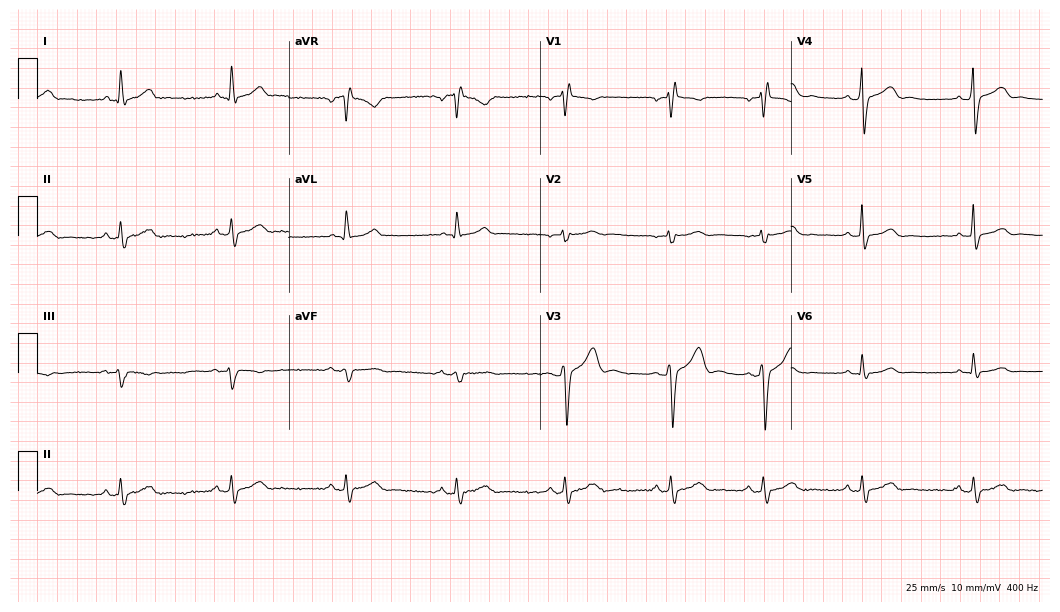
Standard 12-lead ECG recorded from a 35-year-old male (10.2-second recording at 400 Hz). The tracing shows right bundle branch block.